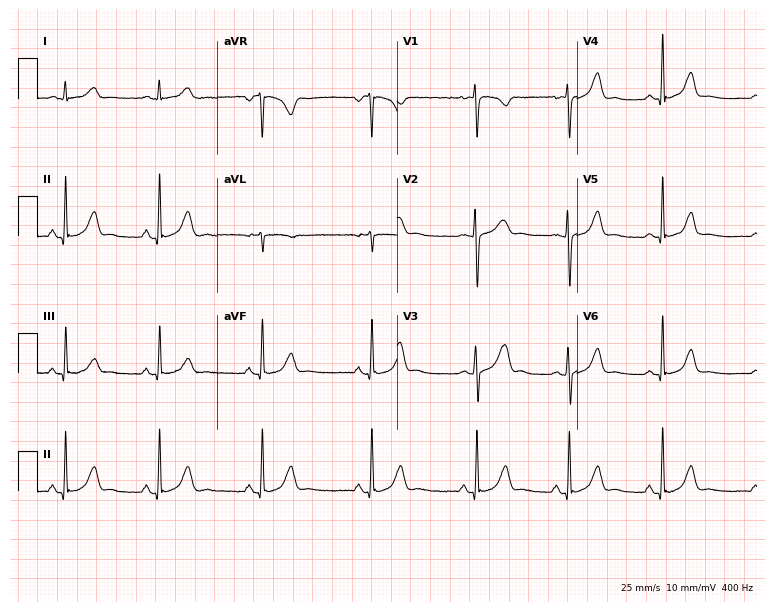
ECG (7.3-second recording at 400 Hz) — a 21-year-old female. Screened for six findings — first-degree AV block, right bundle branch block, left bundle branch block, sinus bradycardia, atrial fibrillation, sinus tachycardia — none is recorded.